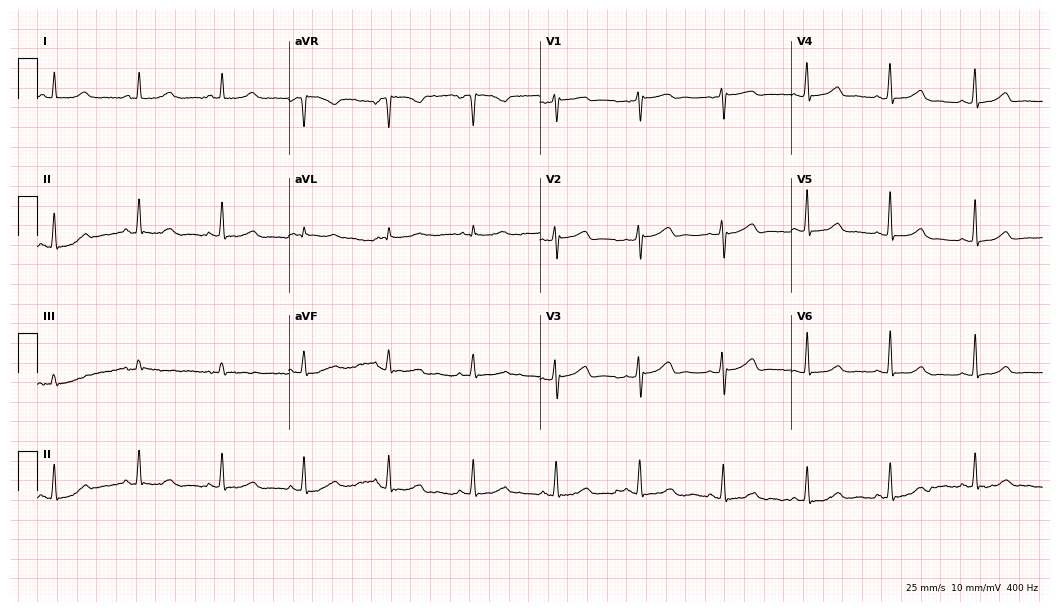
12-lead ECG from a 61-year-old woman. No first-degree AV block, right bundle branch block (RBBB), left bundle branch block (LBBB), sinus bradycardia, atrial fibrillation (AF) or sinus tachycardia recorded for this tracing.